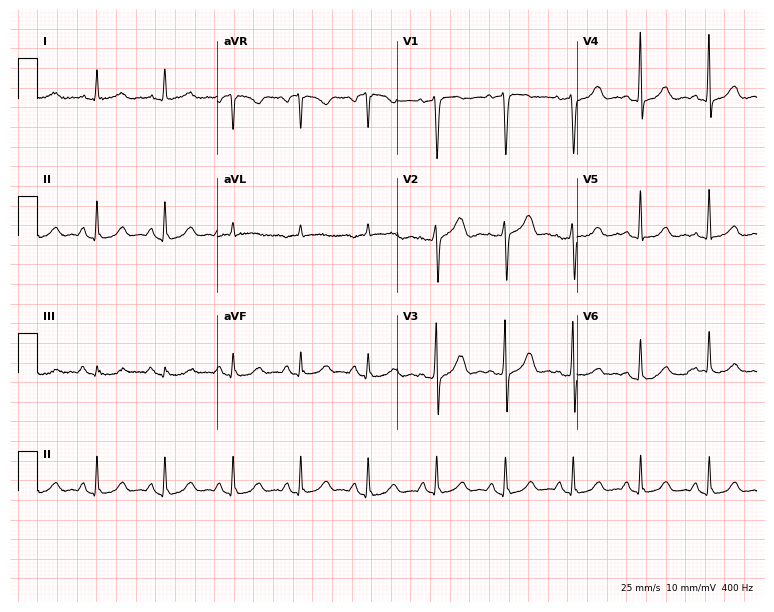
Standard 12-lead ECG recorded from a male, 45 years old (7.3-second recording at 400 Hz). None of these six findings is recorded: first-degree AV block, right bundle branch block, left bundle branch block, sinus bradycardia, atrial fibrillation, sinus tachycardia. Only these six findings were labelled.